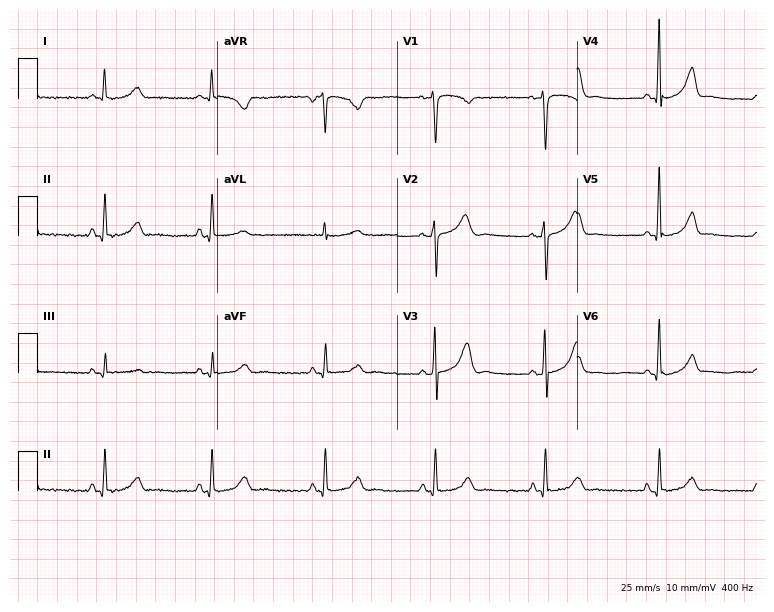
12-lead ECG from a woman, 43 years old. Labelled as a normal ECG.